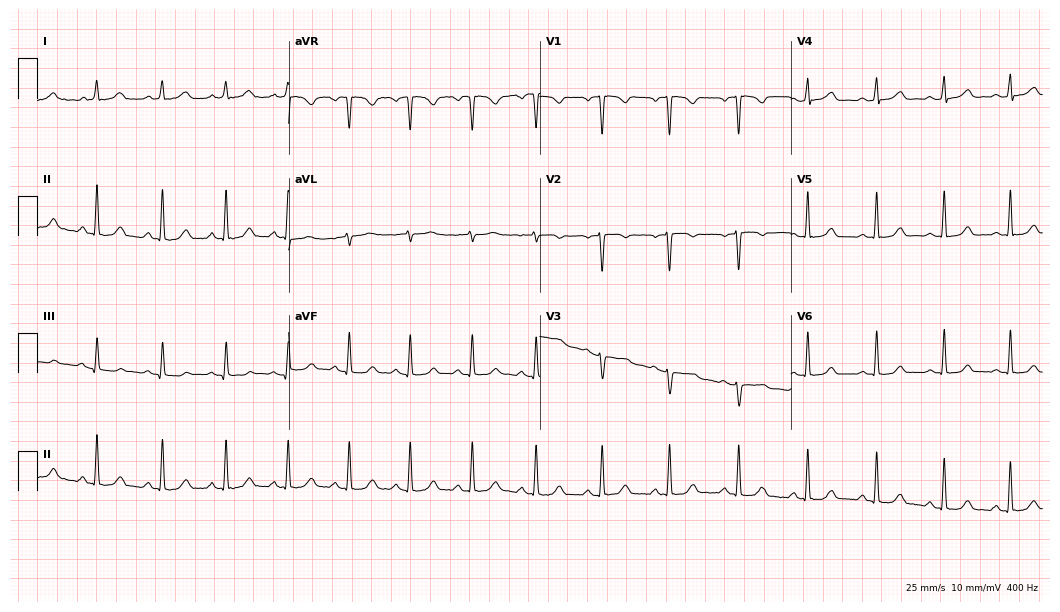
Resting 12-lead electrocardiogram (10.2-second recording at 400 Hz). Patient: a 31-year-old female. None of these six findings is recorded: first-degree AV block, right bundle branch block, left bundle branch block, sinus bradycardia, atrial fibrillation, sinus tachycardia. Other findings, if any, are not listed.